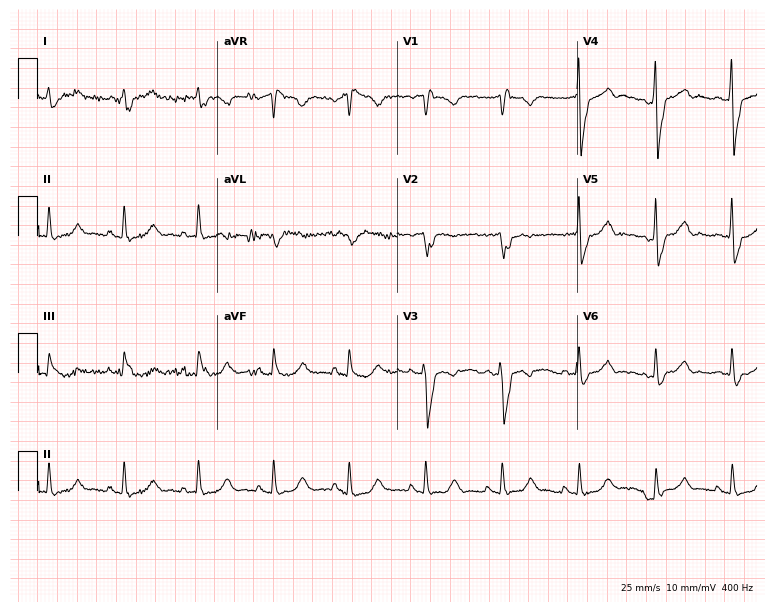
12-lead ECG from a 73-year-old man. No first-degree AV block, right bundle branch block (RBBB), left bundle branch block (LBBB), sinus bradycardia, atrial fibrillation (AF) or sinus tachycardia recorded for this tracing. Findings outside these six are not listed.